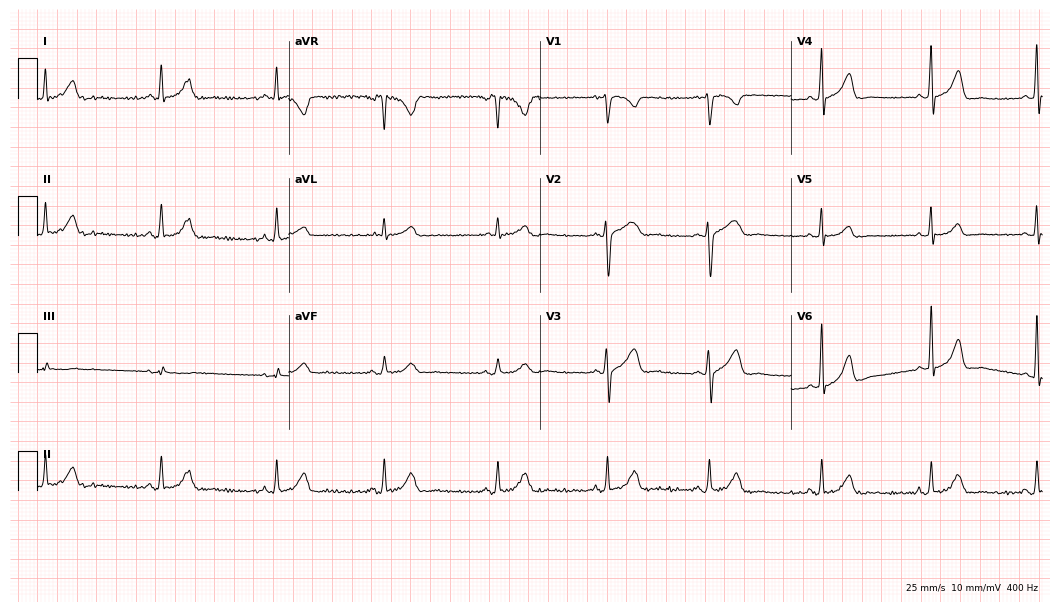
ECG — a 37-year-old female patient. Labelled as a normal ECG.